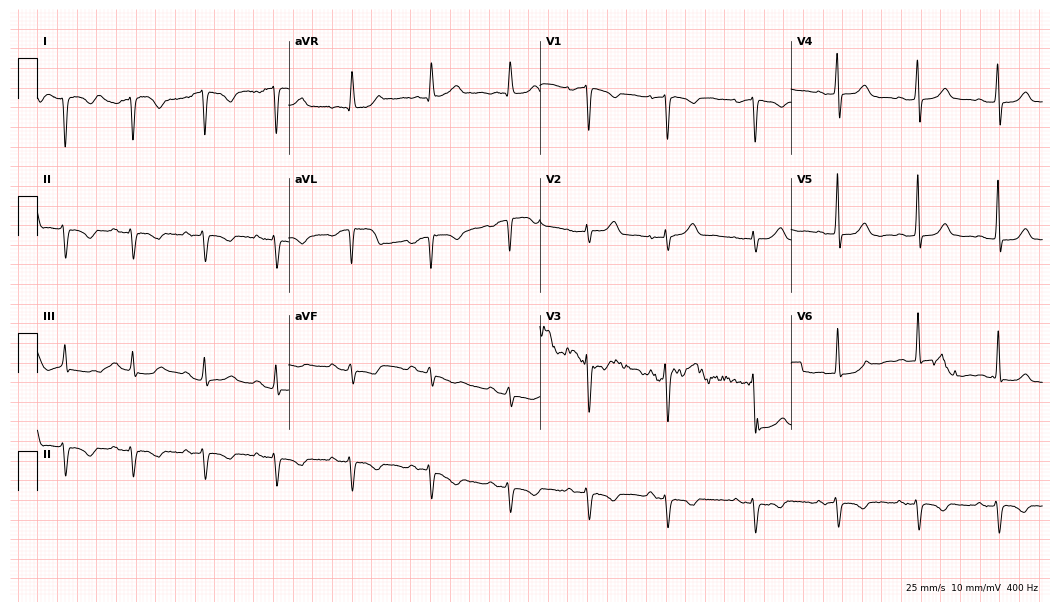
12-lead ECG from a 65-year-old woman (10.2-second recording at 400 Hz). No first-degree AV block, right bundle branch block, left bundle branch block, sinus bradycardia, atrial fibrillation or sinus tachycardia recorded for this tracing.